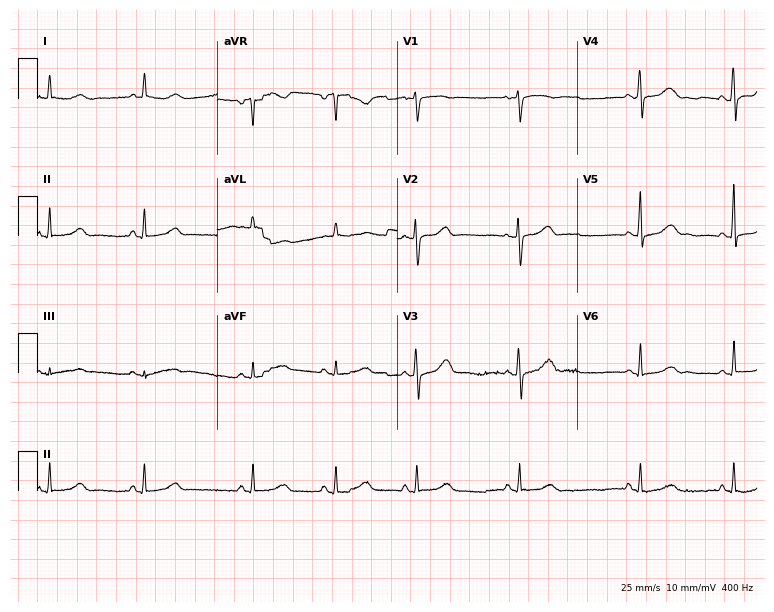
Resting 12-lead electrocardiogram (7.3-second recording at 400 Hz). Patient: a 48-year-old woman. None of these six findings is recorded: first-degree AV block, right bundle branch block, left bundle branch block, sinus bradycardia, atrial fibrillation, sinus tachycardia.